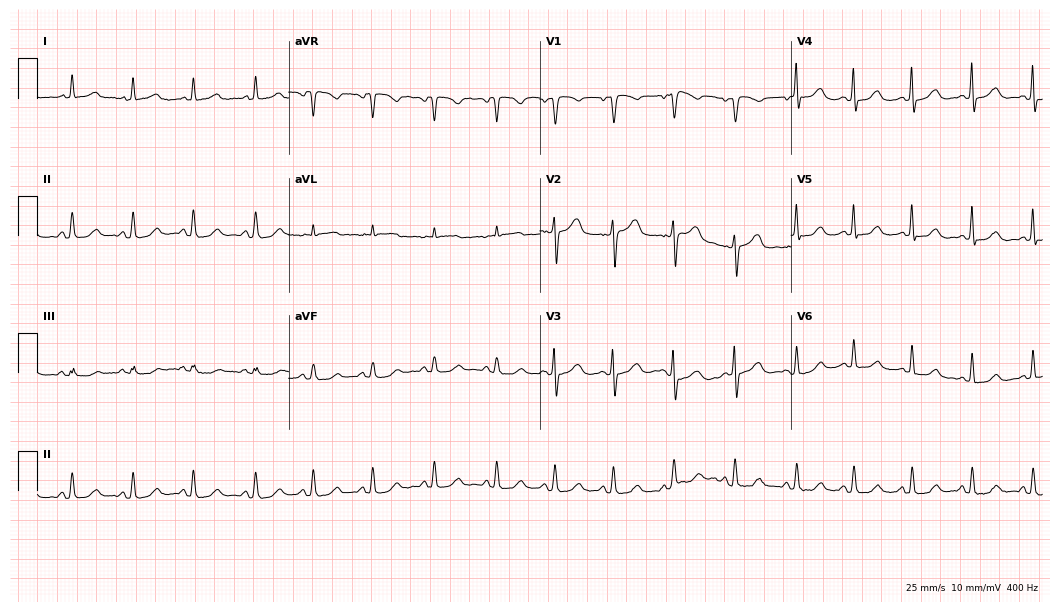
Resting 12-lead electrocardiogram. Patient: a 69-year-old woman. None of these six findings is recorded: first-degree AV block, right bundle branch block, left bundle branch block, sinus bradycardia, atrial fibrillation, sinus tachycardia.